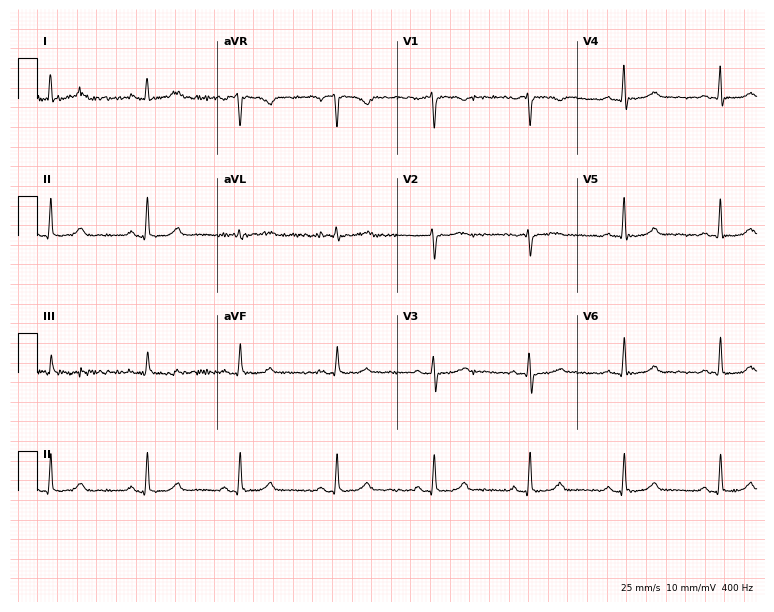
12-lead ECG (7.3-second recording at 400 Hz) from a 57-year-old female patient. Labelled as a normal ECG.